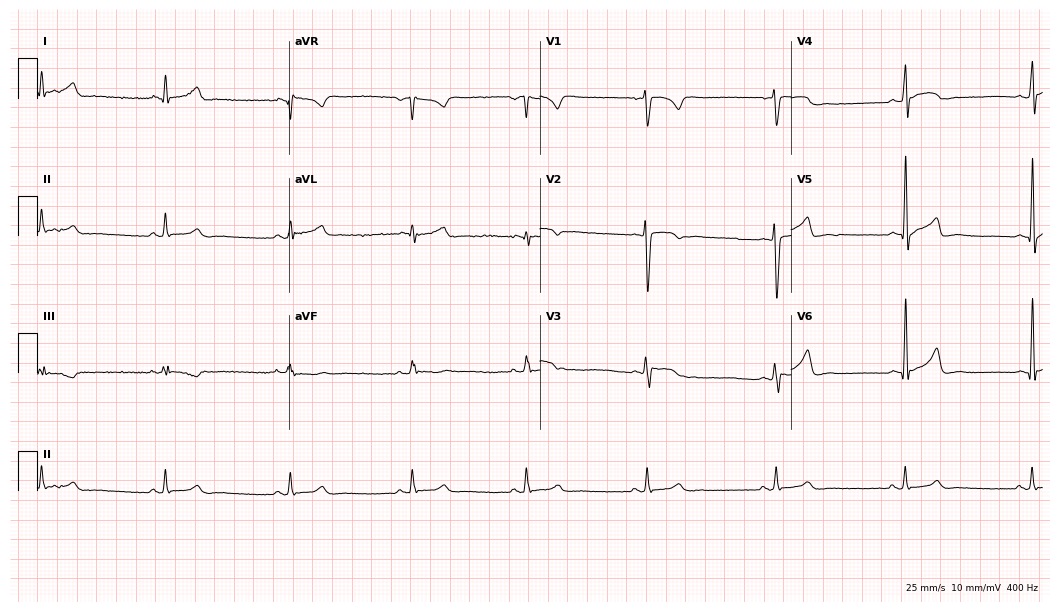
Resting 12-lead electrocardiogram. Patient: a 22-year-old man. Read as a normal ECG.